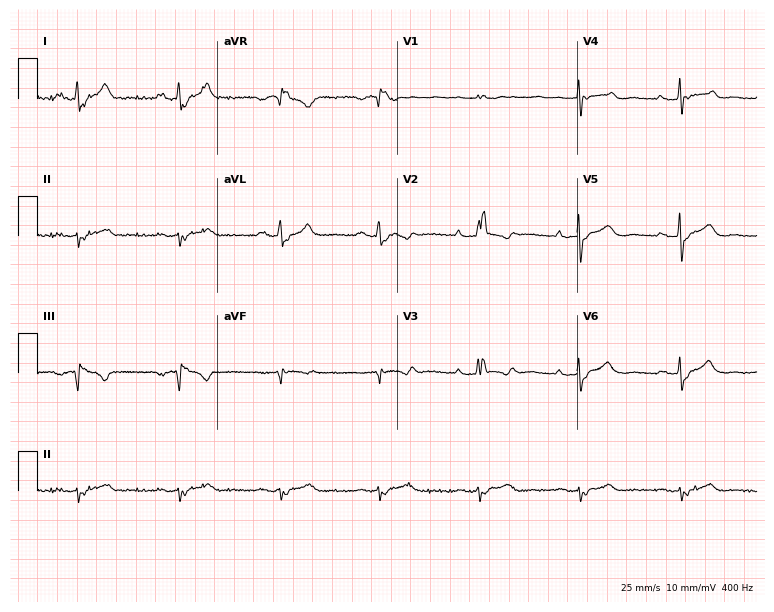
12-lead ECG (7.3-second recording at 400 Hz) from a male, 73 years old. Findings include right bundle branch block (RBBB).